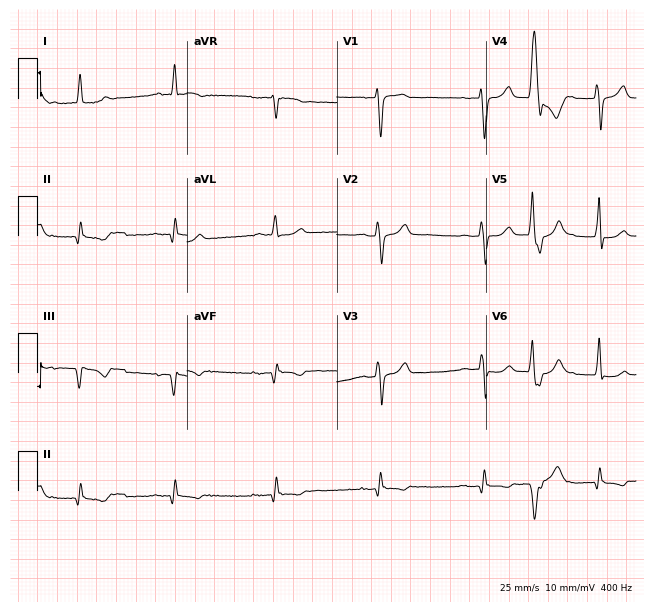
12-lead ECG from a 71-year-old male patient (6.1-second recording at 400 Hz). No first-degree AV block, right bundle branch block, left bundle branch block, sinus bradycardia, atrial fibrillation or sinus tachycardia recorded for this tracing.